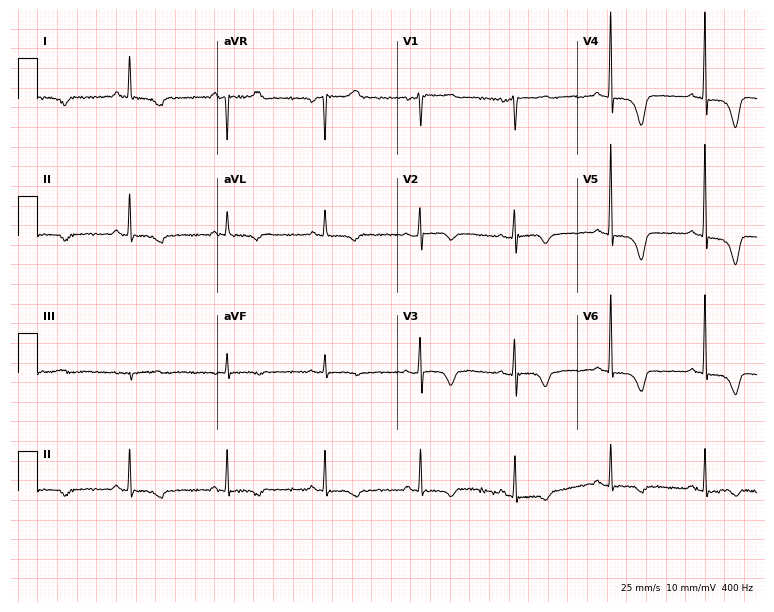
12-lead ECG (7.3-second recording at 400 Hz) from a 62-year-old woman. Screened for six findings — first-degree AV block, right bundle branch block, left bundle branch block, sinus bradycardia, atrial fibrillation, sinus tachycardia — none is recorded. Only these six findings were labelled.